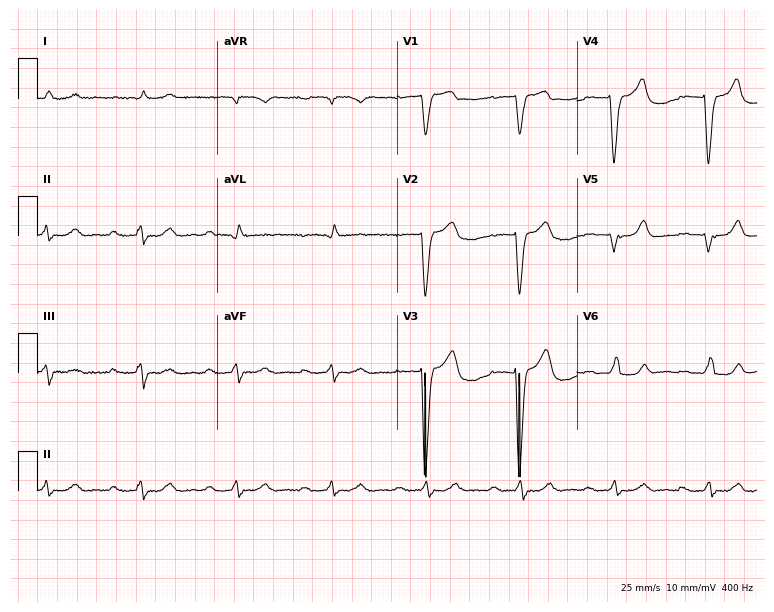
12-lead ECG from an 80-year-old man. Findings include left bundle branch block (LBBB).